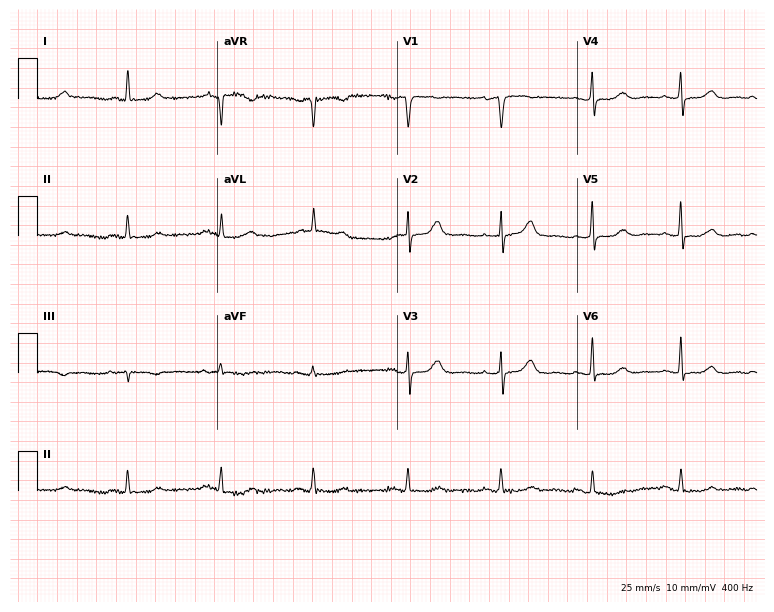
Resting 12-lead electrocardiogram (7.3-second recording at 400 Hz). Patient: a female, 63 years old. None of these six findings is recorded: first-degree AV block, right bundle branch block, left bundle branch block, sinus bradycardia, atrial fibrillation, sinus tachycardia.